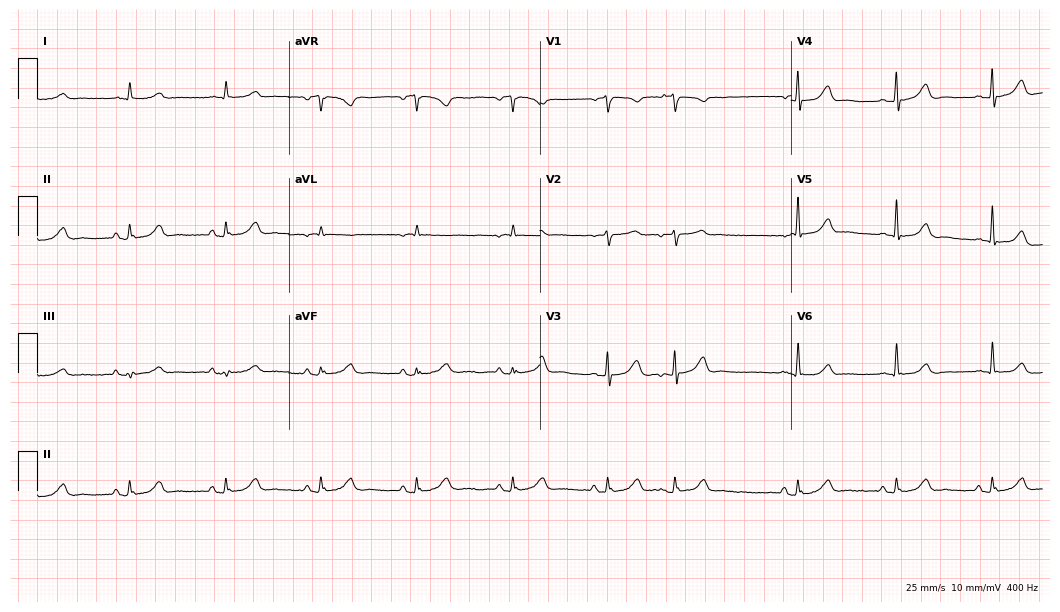
Standard 12-lead ECG recorded from a man, 79 years old. None of these six findings is recorded: first-degree AV block, right bundle branch block (RBBB), left bundle branch block (LBBB), sinus bradycardia, atrial fibrillation (AF), sinus tachycardia.